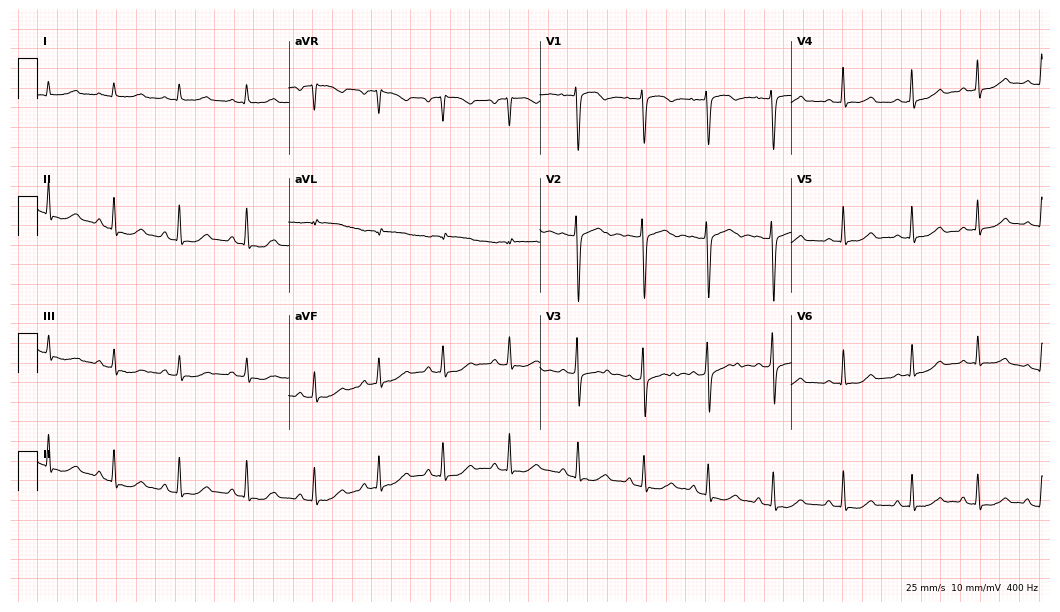
Resting 12-lead electrocardiogram. Patient: a female, 42 years old. None of these six findings is recorded: first-degree AV block, right bundle branch block, left bundle branch block, sinus bradycardia, atrial fibrillation, sinus tachycardia. Other findings, if any, are not listed.